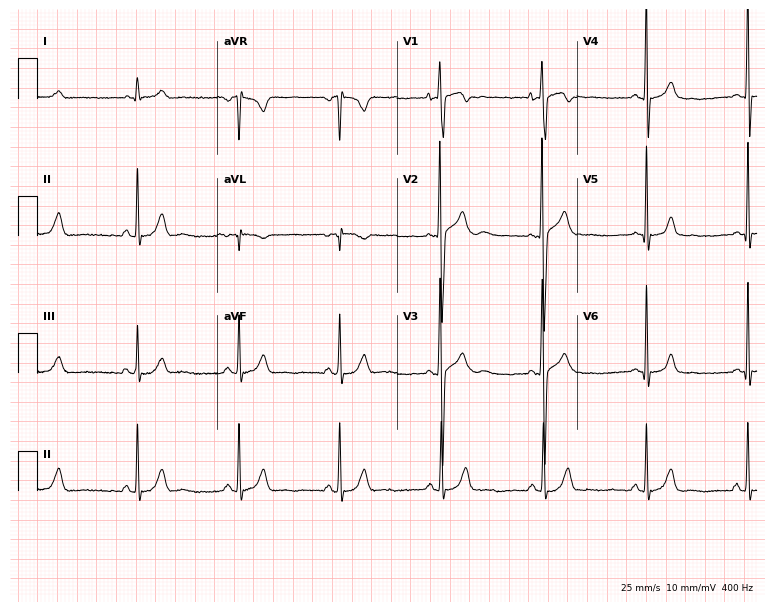
12-lead ECG from a man, 25 years old. Recorded interpretation: within normal limits.